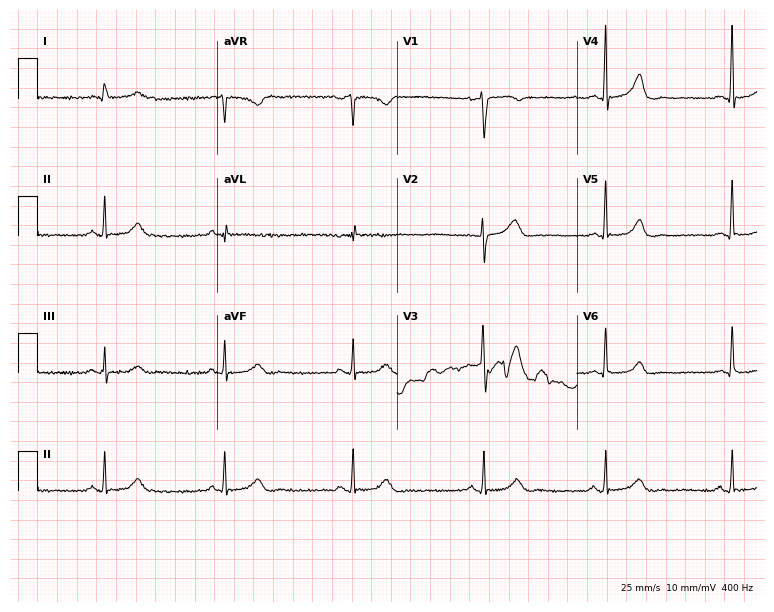
12-lead ECG from a male, 53 years old (7.3-second recording at 400 Hz). Shows sinus bradycardia (a sinus rate of 50 beats per minute or less).